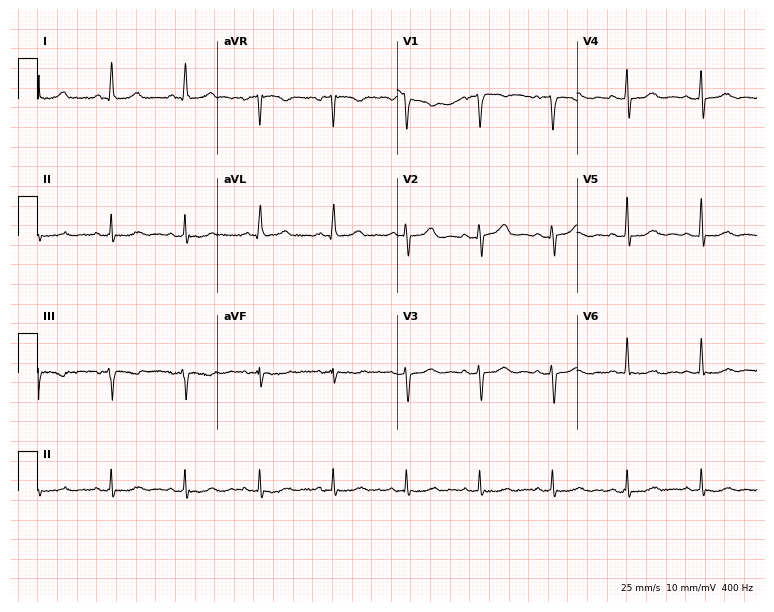
12-lead ECG (7.3-second recording at 400 Hz) from a 39-year-old female. Screened for six findings — first-degree AV block, right bundle branch block, left bundle branch block, sinus bradycardia, atrial fibrillation, sinus tachycardia — none is recorded. Other findings, if any, are not listed.